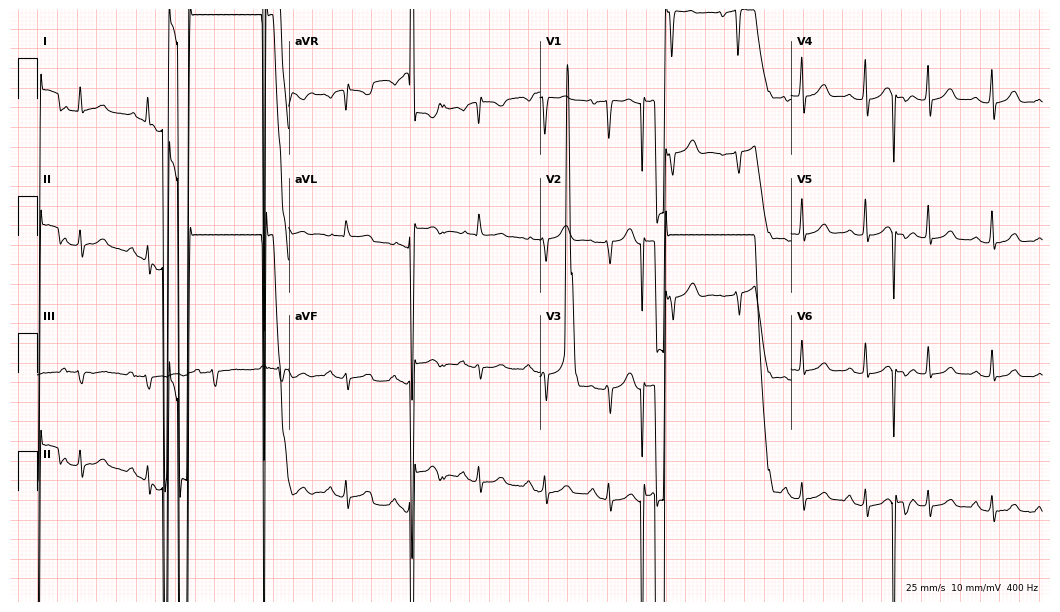
Standard 12-lead ECG recorded from a 66-year-old female. None of these six findings is recorded: first-degree AV block, right bundle branch block, left bundle branch block, sinus bradycardia, atrial fibrillation, sinus tachycardia. Only these six findings were labelled.